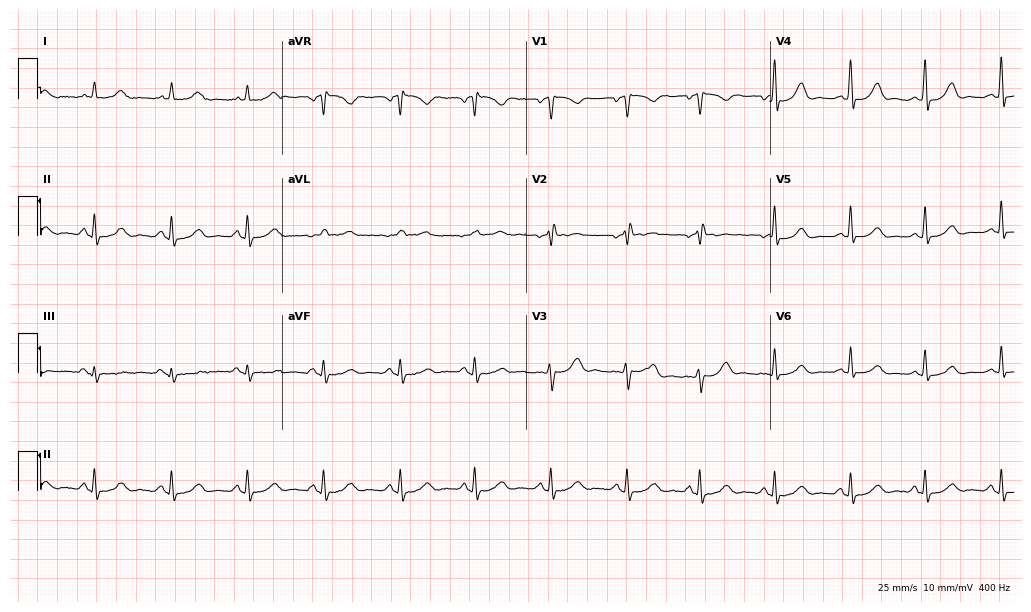
Electrocardiogram, a 25-year-old male patient. Of the six screened findings (first-degree AV block, right bundle branch block, left bundle branch block, sinus bradycardia, atrial fibrillation, sinus tachycardia), none is recorded.